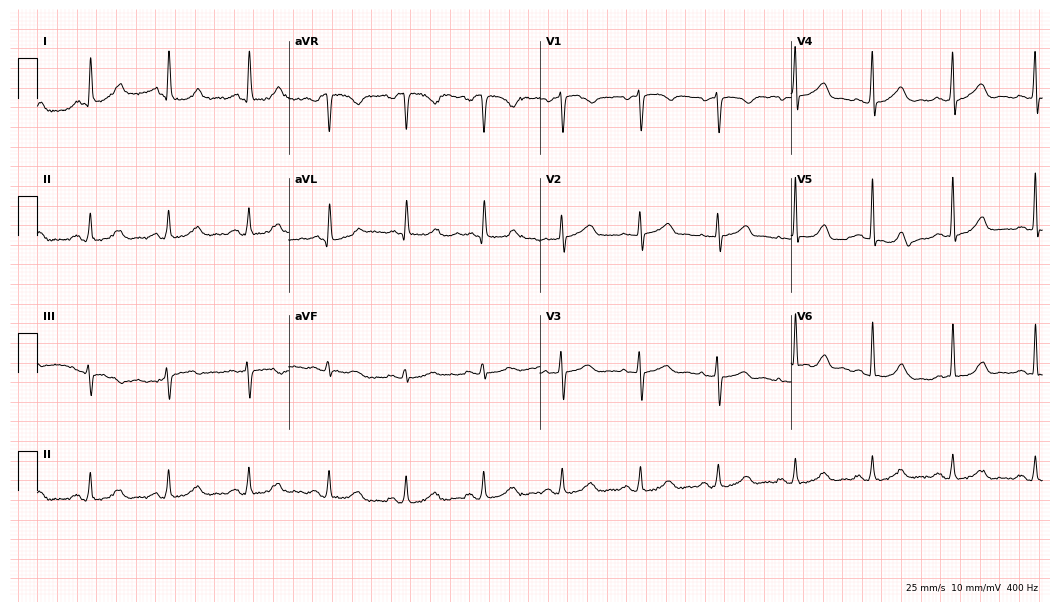
12-lead ECG from a 45-year-old female. Recorded interpretation: within normal limits.